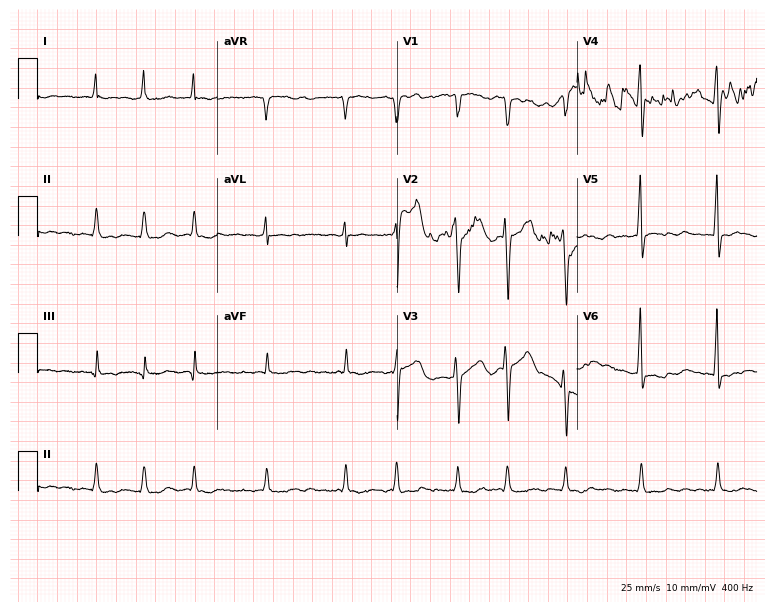
ECG — a 71-year-old male. Findings include atrial fibrillation.